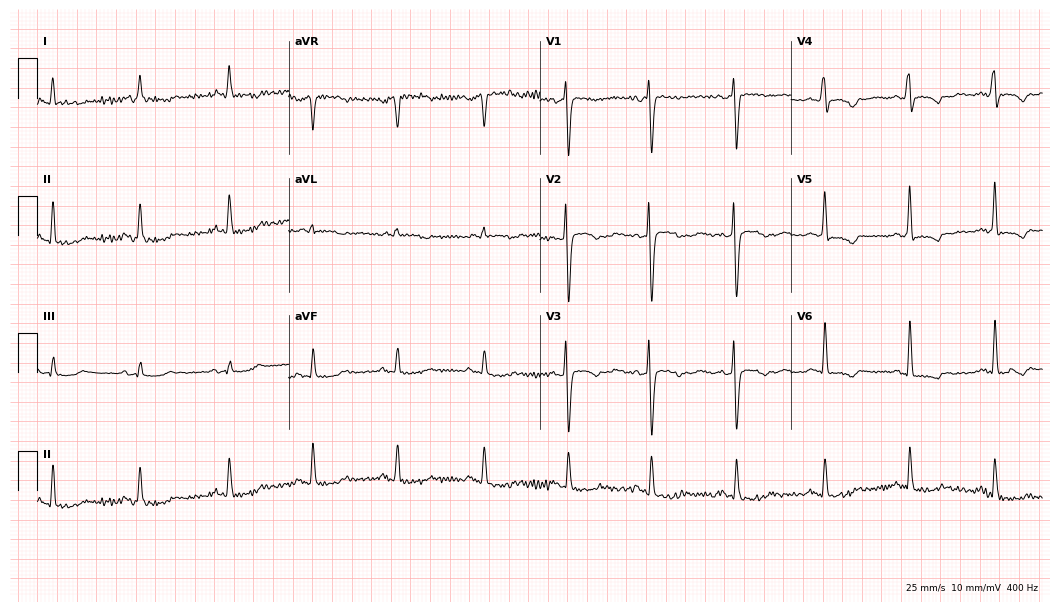
Standard 12-lead ECG recorded from a 60-year-old male. None of these six findings is recorded: first-degree AV block, right bundle branch block, left bundle branch block, sinus bradycardia, atrial fibrillation, sinus tachycardia. Other findings, if any, are not listed.